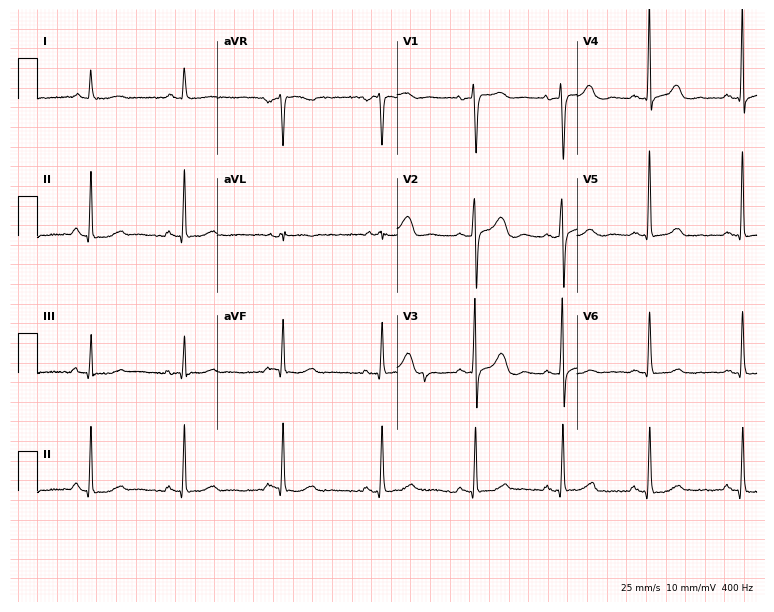
12-lead ECG from a woman, 76 years old. Labelled as a normal ECG.